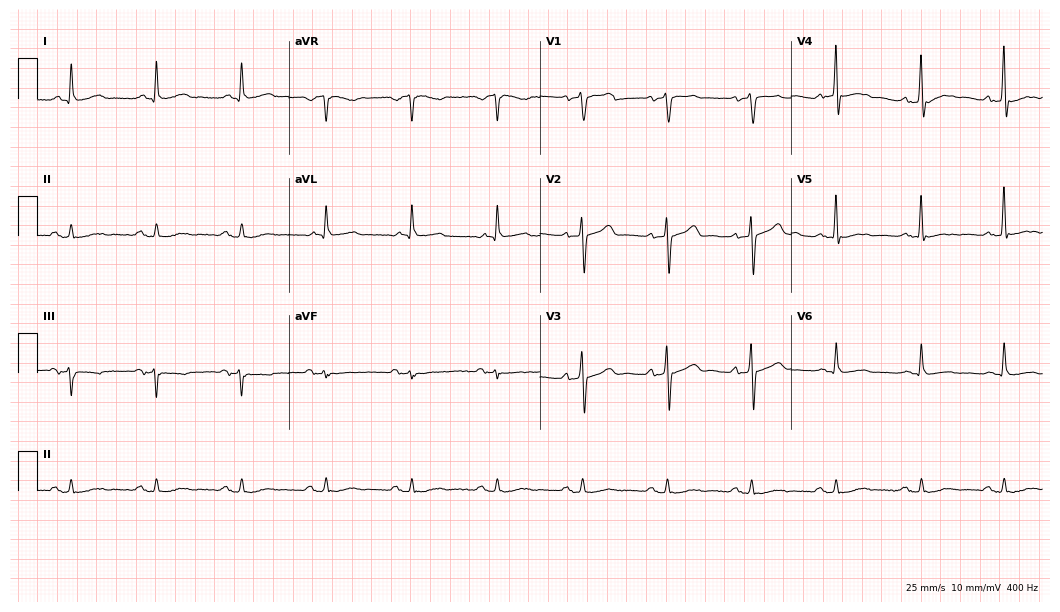
Standard 12-lead ECG recorded from a 61-year-old male patient. Read as a normal ECG.